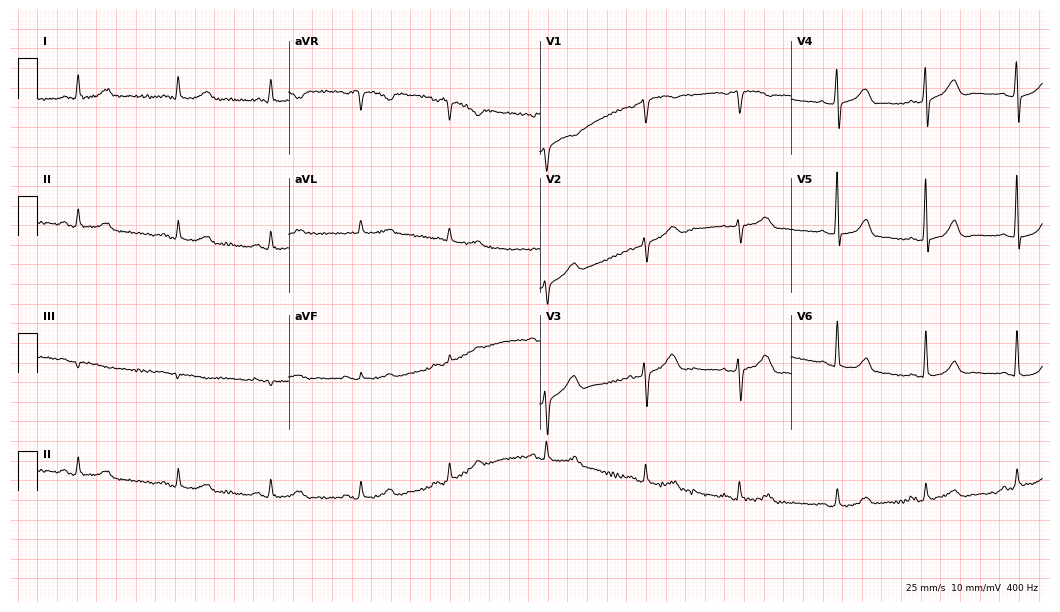
Standard 12-lead ECG recorded from a 70-year-old woman. Read as a normal ECG.